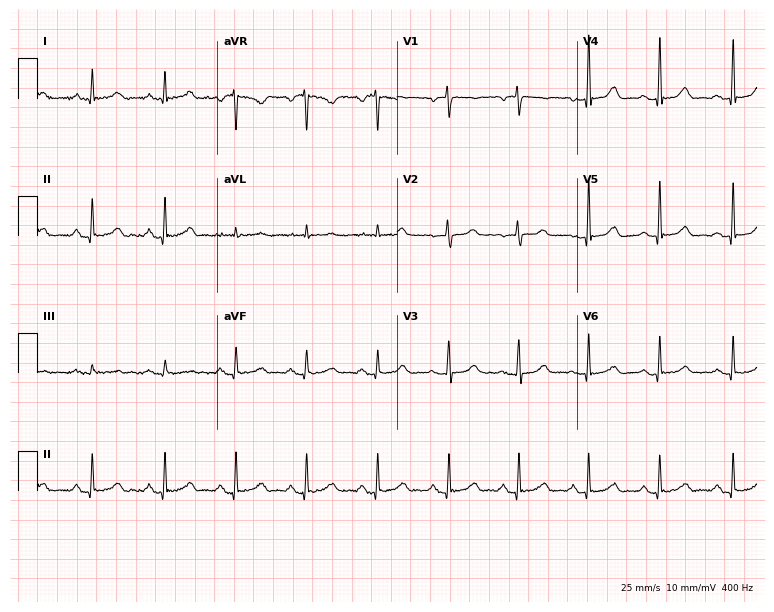
Standard 12-lead ECG recorded from a woman, 55 years old (7.3-second recording at 400 Hz). Read as a normal ECG.